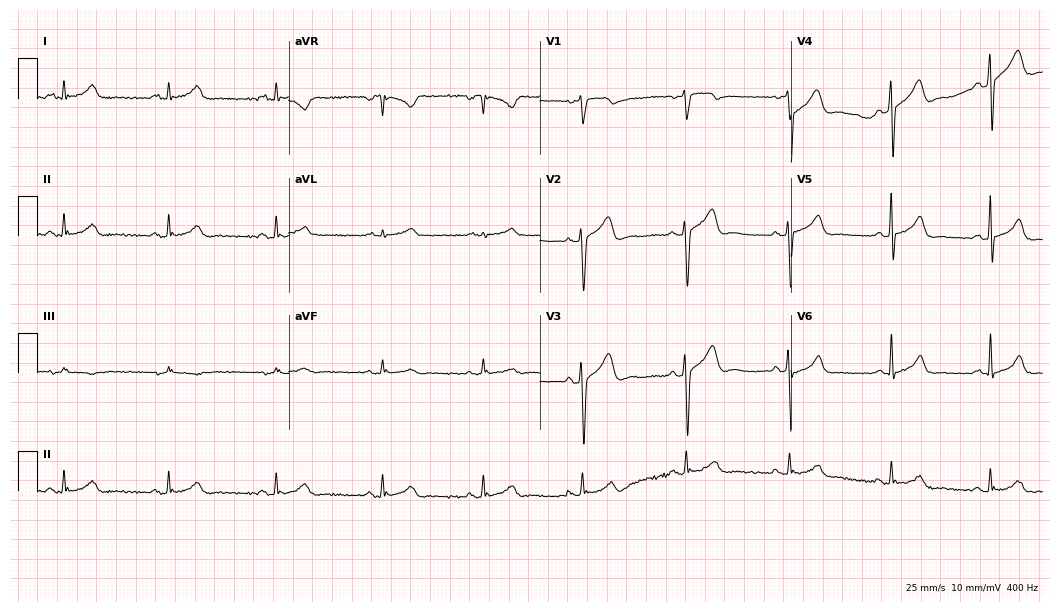
12-lead ECG from a 49-year-old male. Labelled as a normal ECG.